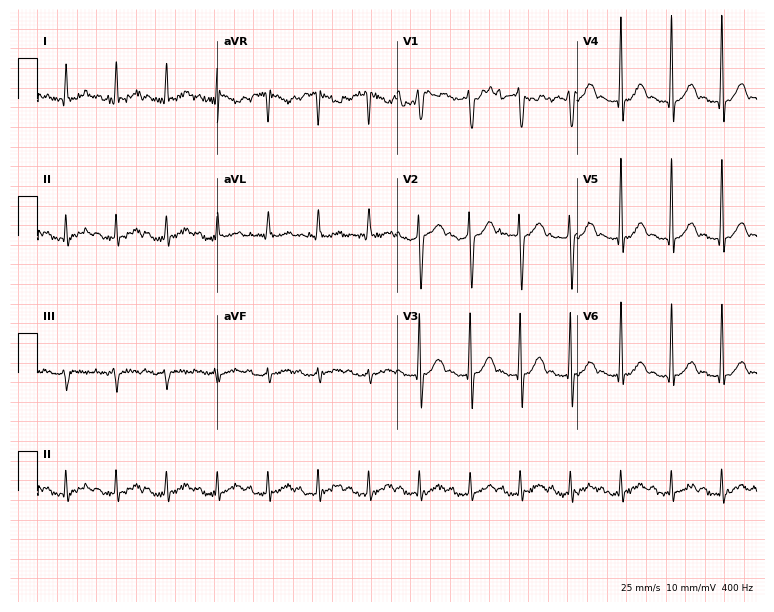
ECG (7.3-second recording at 400 Hz) — a female, 42 years old. Screened for six findings — first-degree AV block, right bundle branch block, left bundle branch block, sinus bradycardia, atrial fibrillation, sinus tachycardia — none is recorded.